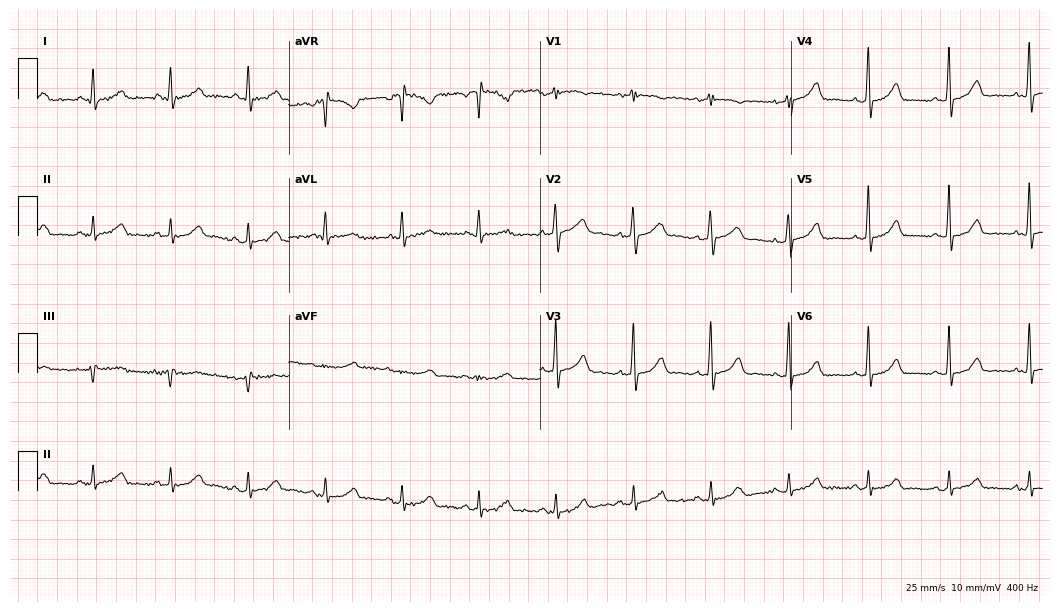
Standard 12-lead ECG recorded from a 58-year-old woman (10.2-second recording at 400 Hz). Read as a normal ECG.